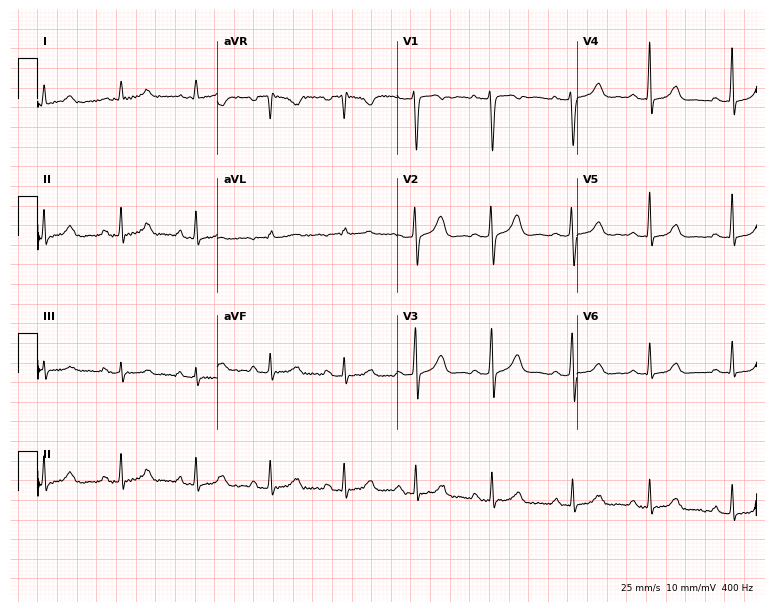
Electrocardiogram, a 23-year-old female. Of the six screened findings (first-degree AV block, right bundle branch block, left bundle branch block, sinus bradycardia, atrial fibrillation, sinus tachycardia), none is recorded.